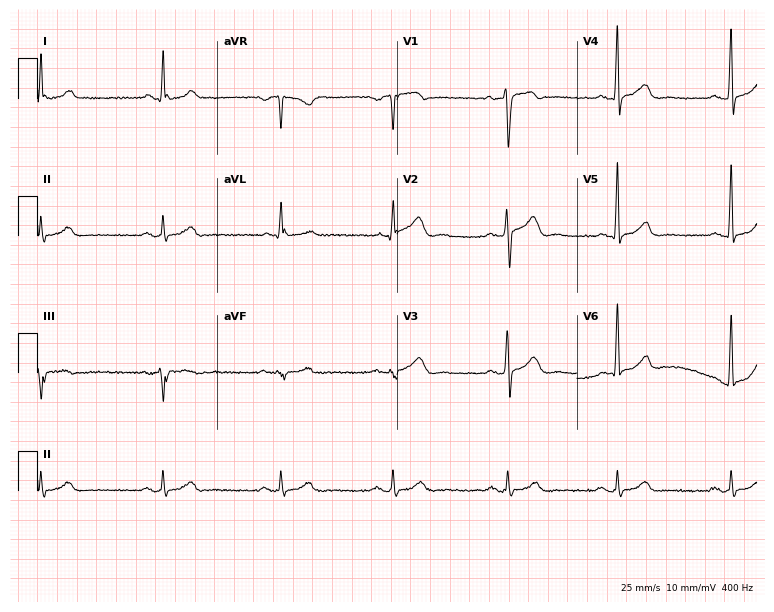
ECG (7.3-second recording at 400 Hz) — a 48-year-old male patient. Labelled as a normal ECG.